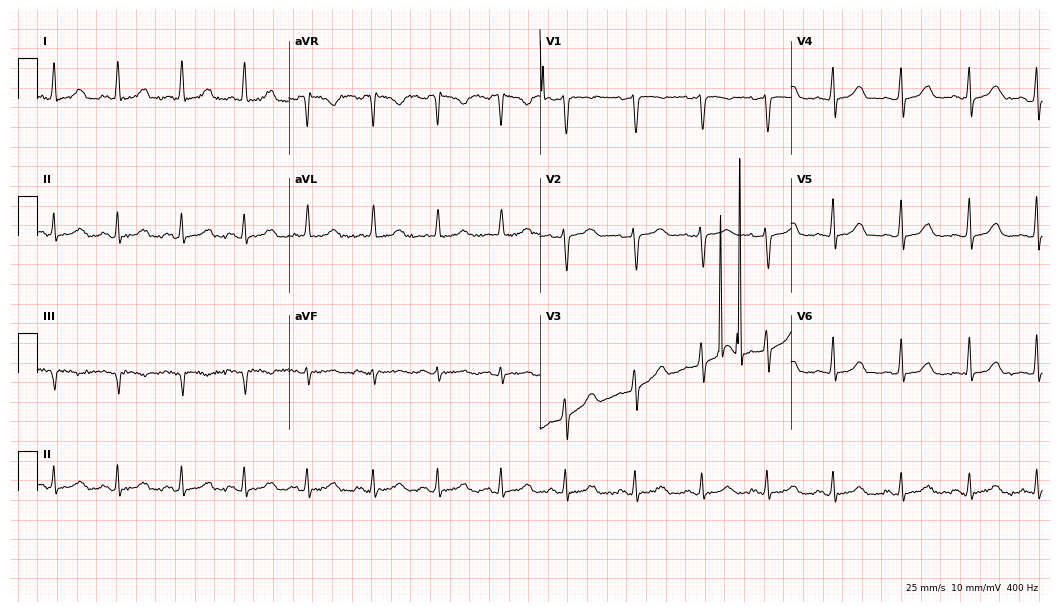
12-lead ECG (10.2-second recording at 400 Hz) from a 42-year-old woman. Screened for six findings — first-degree AV block, right bundle branch block, left bundle branch block, sinus bradycardia, atrial fibrillation, sinus tachycardia — none is recorded. Other findings, if any, are not listed.